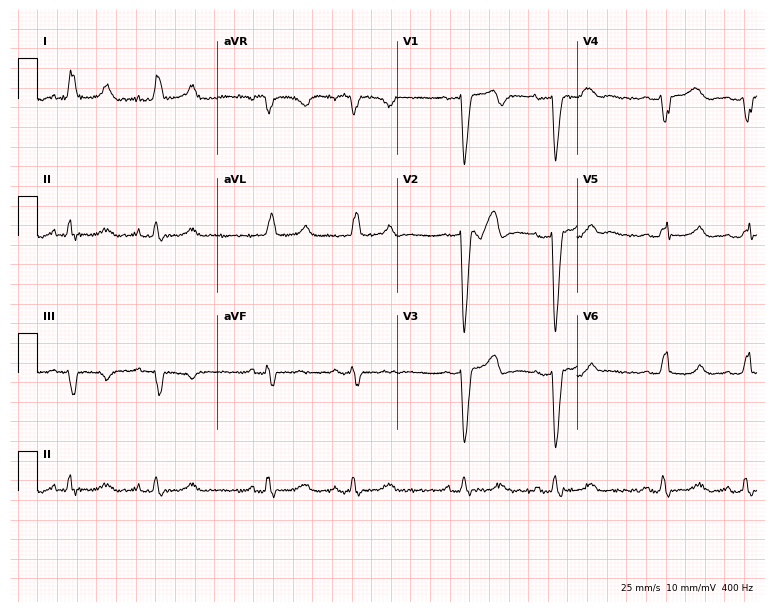
12-lead ECG from a 59-year-old female. Shows left bundle branch block.